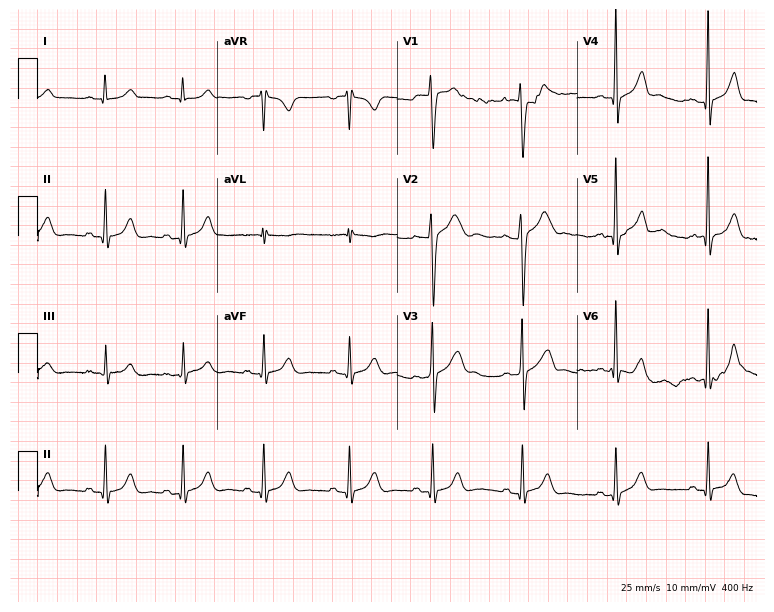
12-lead ECG from a 20-year-old male (7.3-second recording at 400 Hz). Recorded interpretation: within normal limits.